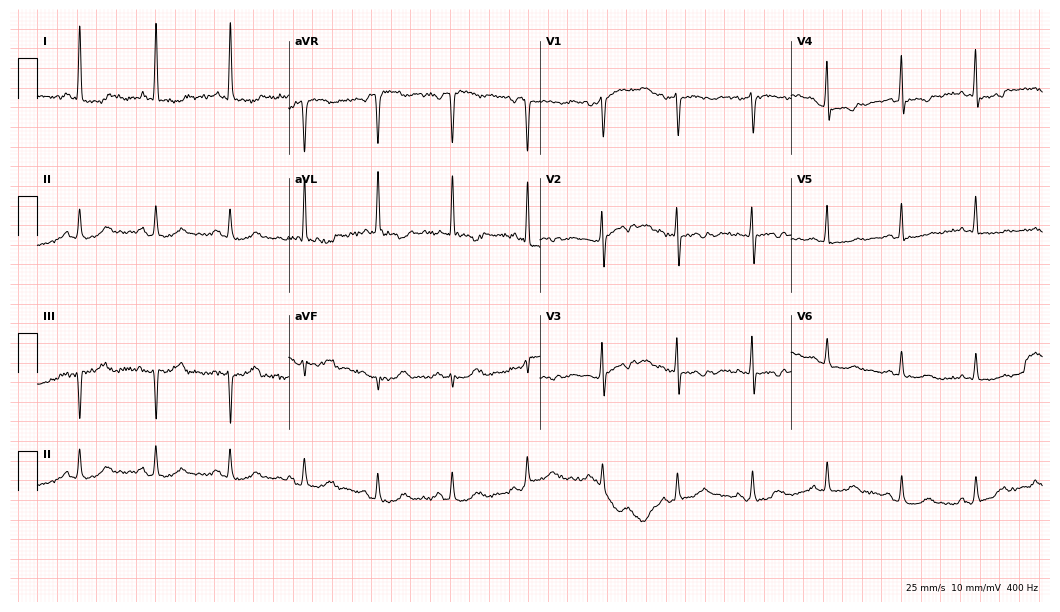
Electrocardiogram (10.2-second recording at 400 Hz), an 82-year-old female. Of the six screened findings (first-degree AV block, right bundle branch block, left bundle branch block, sinus bradycardia, atrial fibrillation, sinus tachycardia), none is recorded.